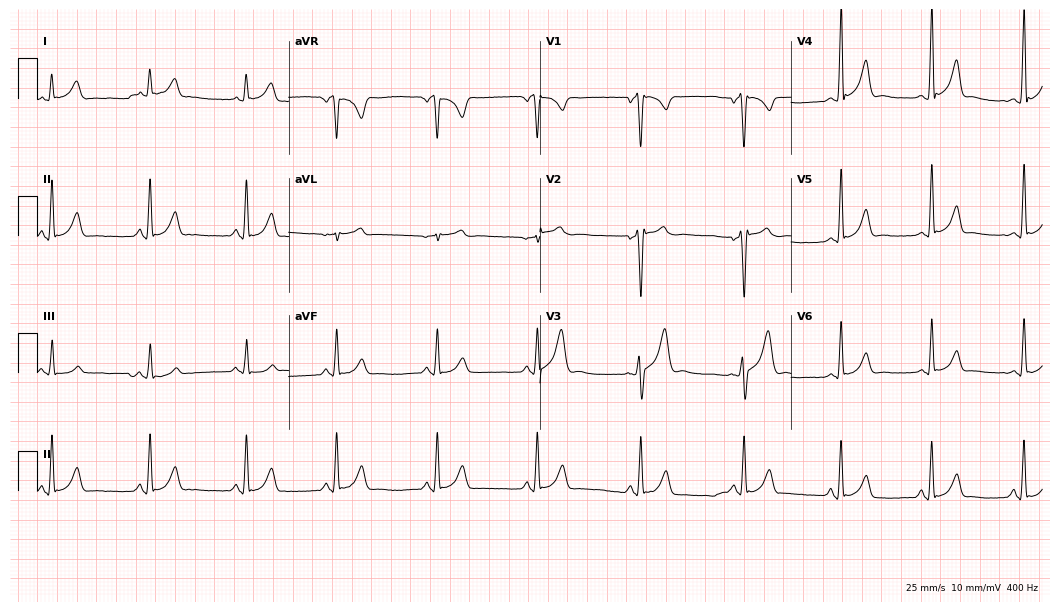
Resting 12-lead electrocardiogram. Patient: a male, 27 years old. Read as a normal ECG.